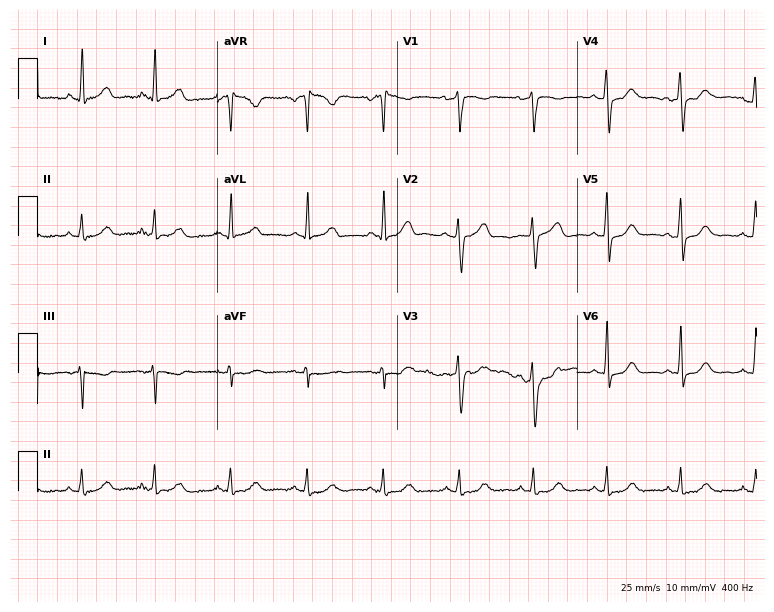
ECG — a 50-year-old female. Screened for six findings — first-degree AV block, right bundle branch block (RBBB), left bundle branch block (LBBB), sinus bradycardia, atrial fibrillation (AF), sinus tachycardia — none is recorded.